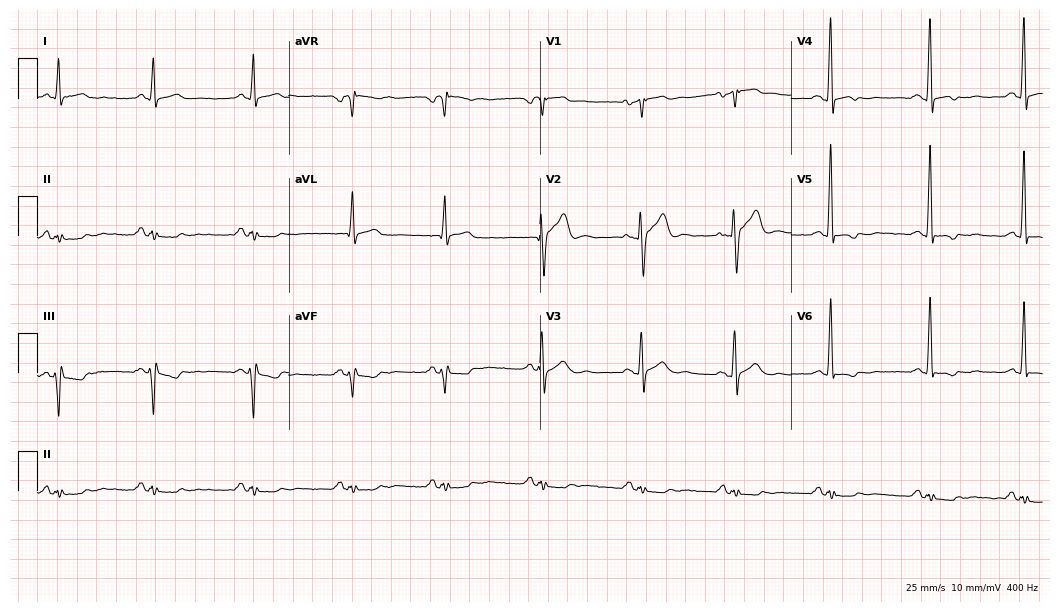
Resting 12-lead electrocardiogram. Patient: a 41-year-old man. None of these six findings is recorded: first-degree AV block, right bundle branch block (RBBB), left bundle branch block (LBBB), sinus bradycardia, atrial fibrillation (AF), sinus tachycardia. Other findings, if any, are not listed.